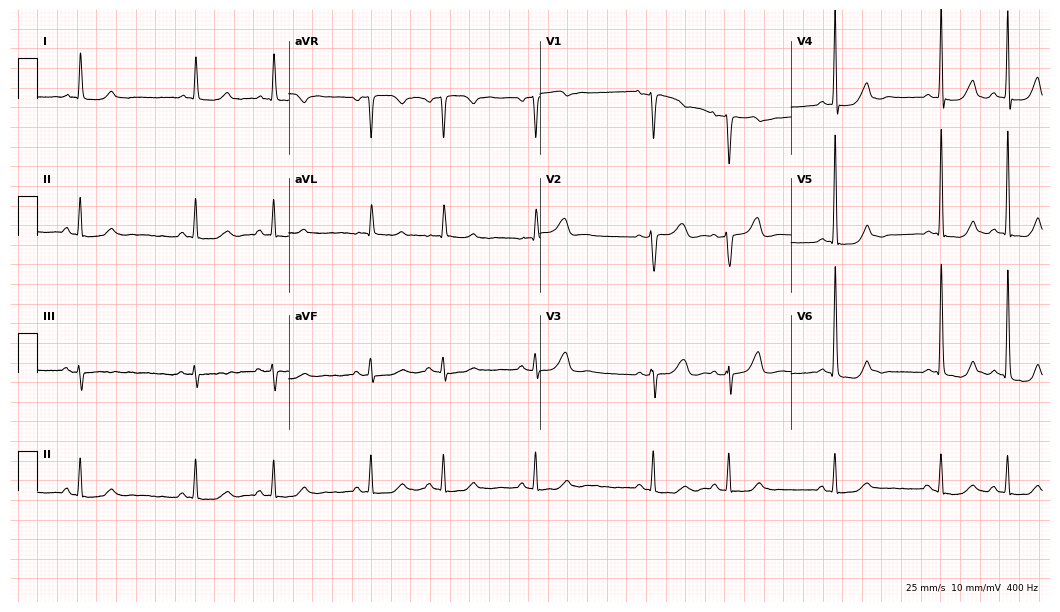
Electrocardiogram (10.2-second recording at 400 Hz), a 64-year-old woman. Of the six screened findings (first-degree AV block, right bundle branch block, left bundle branch block, sinus bradycardia, atrial fibrillation, sinus tachycardia), none is recorded. Findings outside these six are not listed.